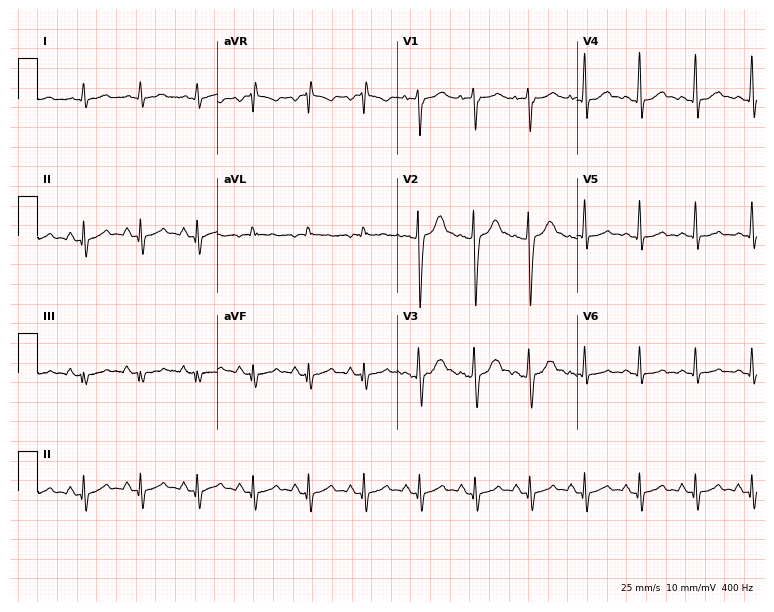
Electrocardiogram (7.3-second recording at 400 Hz), a 26-year-old man. Interpretation includes sinus tachycardia (a sinus rate of 100 beats per minute or more).